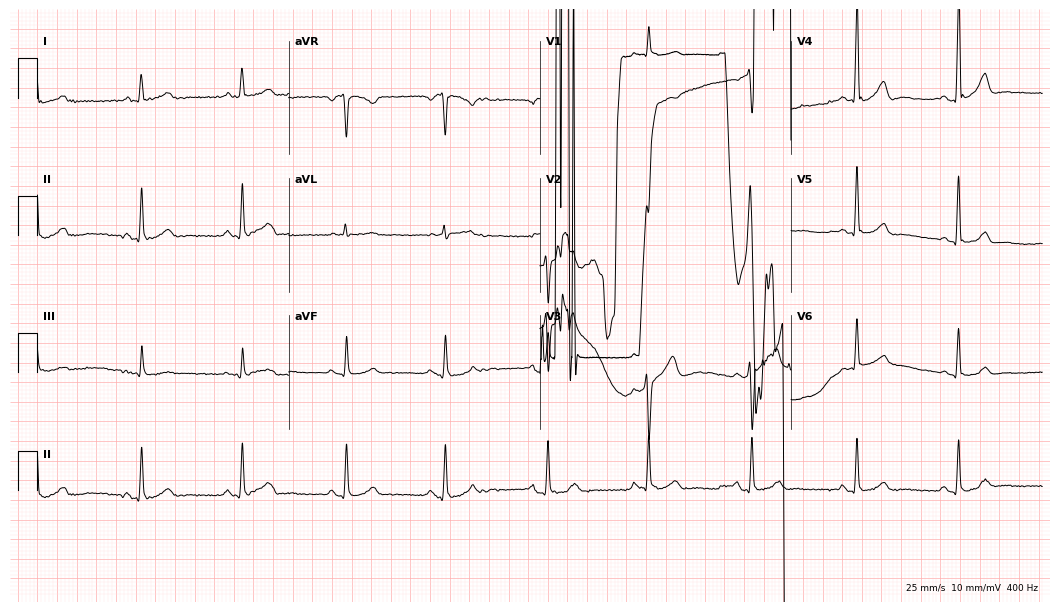
Resting 12-lead electrocardiogram. Patient: a male, 45 years old. None of these six findings is recorded: first-degree AV block, right bundle branch block, left bundle branch block, sinus bradycardia, atrial fibrillation, sinus tachycardia. Findings outside these six are not listed.